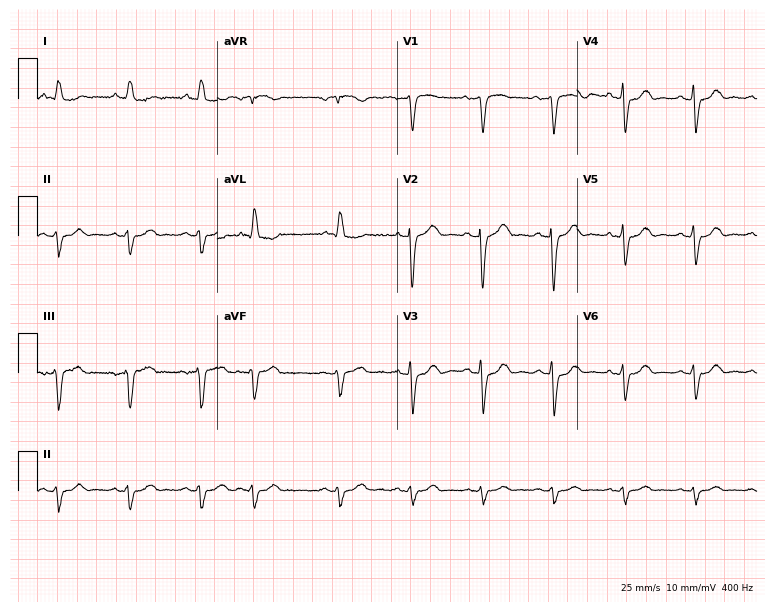
Electrocardiogram (7.3-second recording at 400 Hz), a male, 80 years old. Of the six screened findings (first-degree AV block, right bundle branch block (RBBB), left bundle branch block (LBBB), sinus bradycardia, atrial fibrillation (AF), sinus tachycardia), none is recorded. Other findings, if any, are not listed.